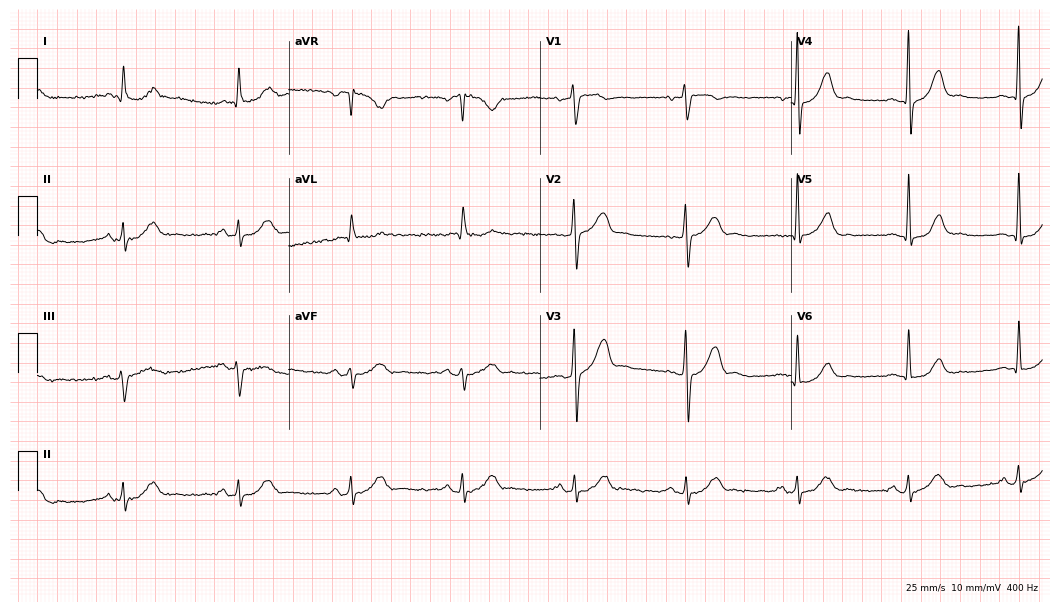
Standard 12-lead ECG recorded from a 65-year-old male patient. Read as a normal ECG.